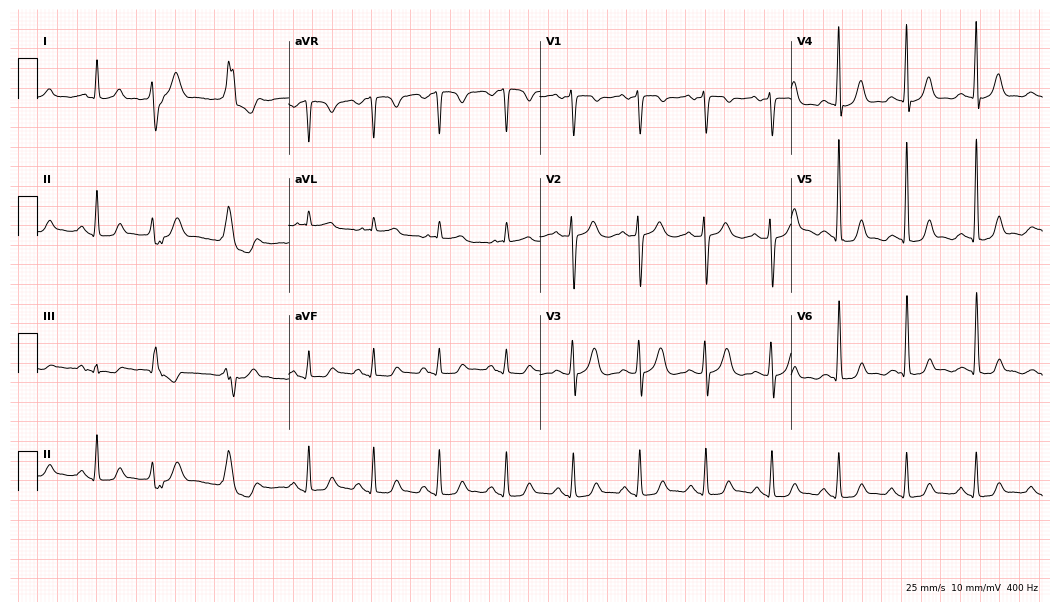
Resting 12-lead electrocardiogram. Patient: a 77-year-old female. None of these six findings is recorded: first-degree AV block, right bundle branch block, left bundle branch block, sinus bradycardia, atrial fibrillation, sinus tachycardia. Findings outside these six are not listed.